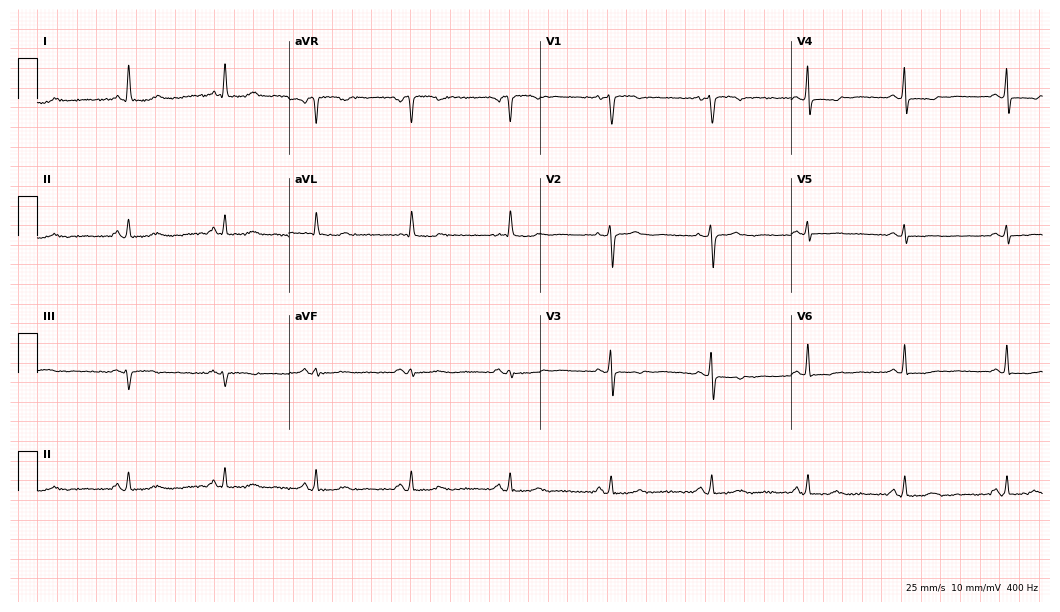
12-lead ECG from a 63-year-old female. No first-degree AV block, right bundle branch block, left bundle branch block, sinus bradycardia, atrial fibrillation or sinus tachycardia recorded for this tracing. Only these six findings were labelled.